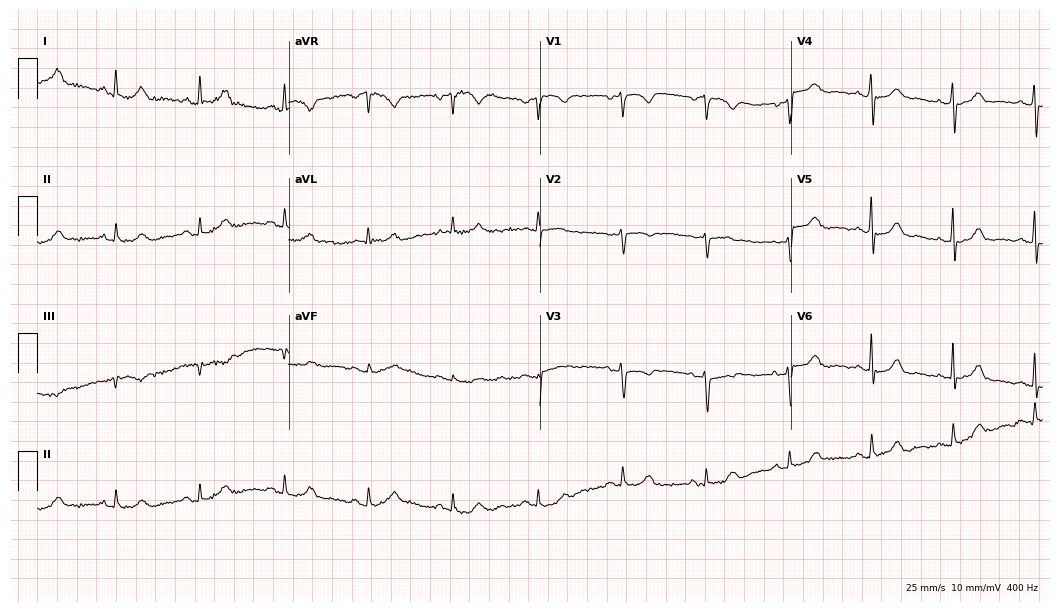
12-lead ECG from a woman, 83 years old (10.2-second recording at 400 Hz). Recorded interpretation: within normal limits.